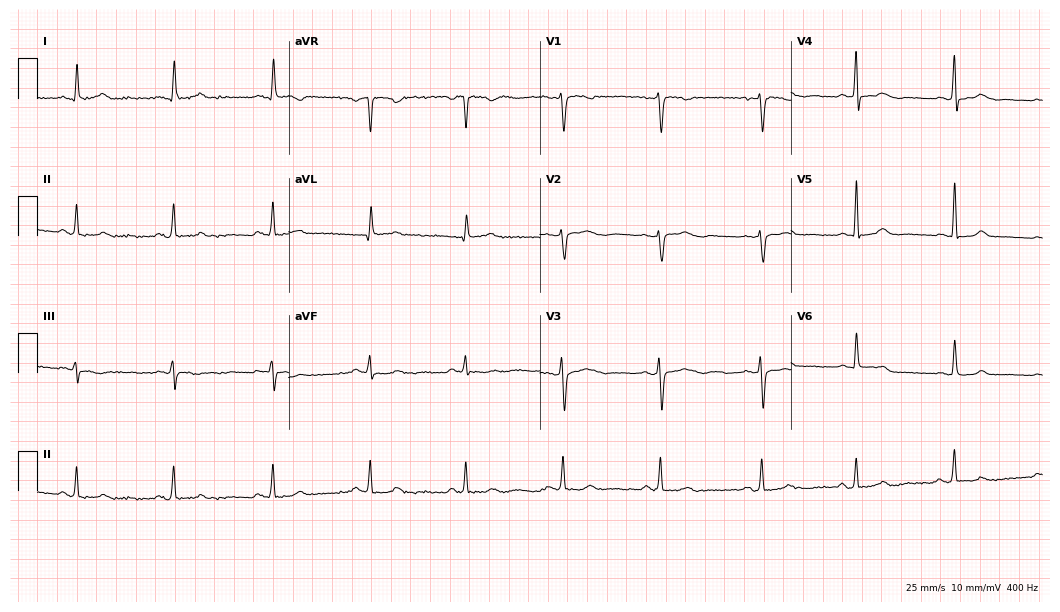
Electrocardiogram, a woman, 45 years old. Overall reading on record: normal ECG.